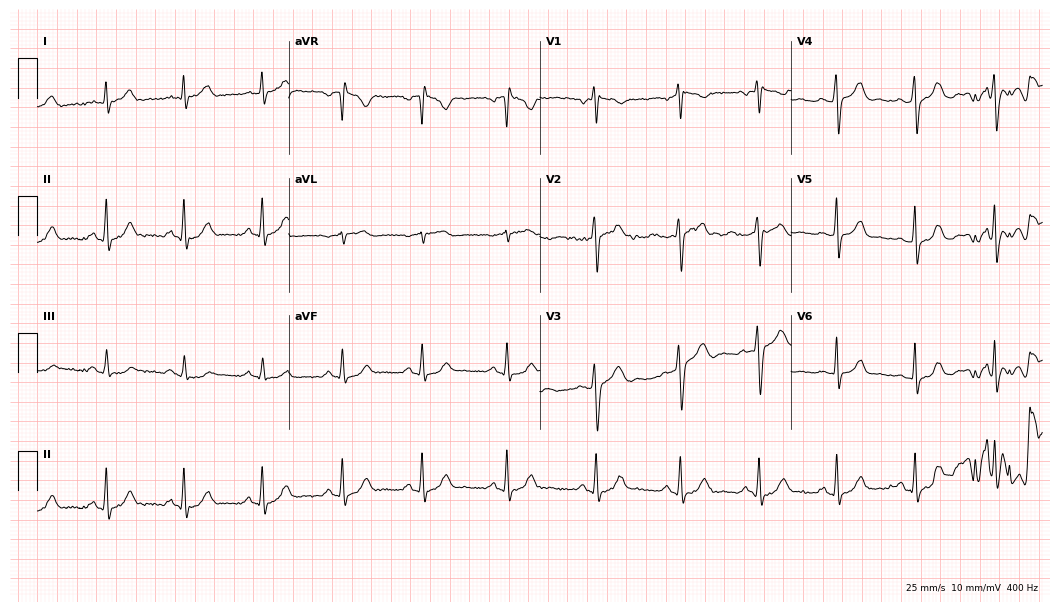
12-lead ECG from a 37-year-old male. Recorded interpretation: within normal limits.